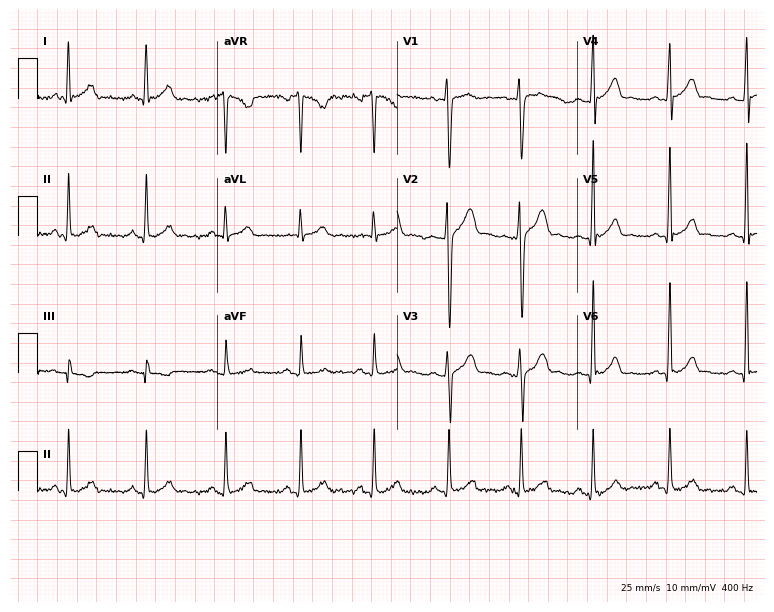
ECG — a male patient, 36 years old. Labelled as a normal ECG.